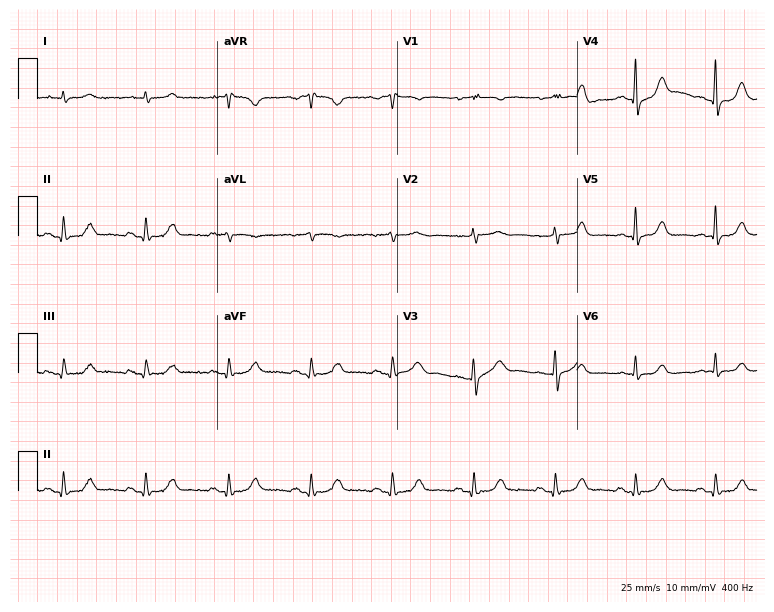
Standard 12-lead ECG recorded from a male, 79 years old. Read as a normal ECG.